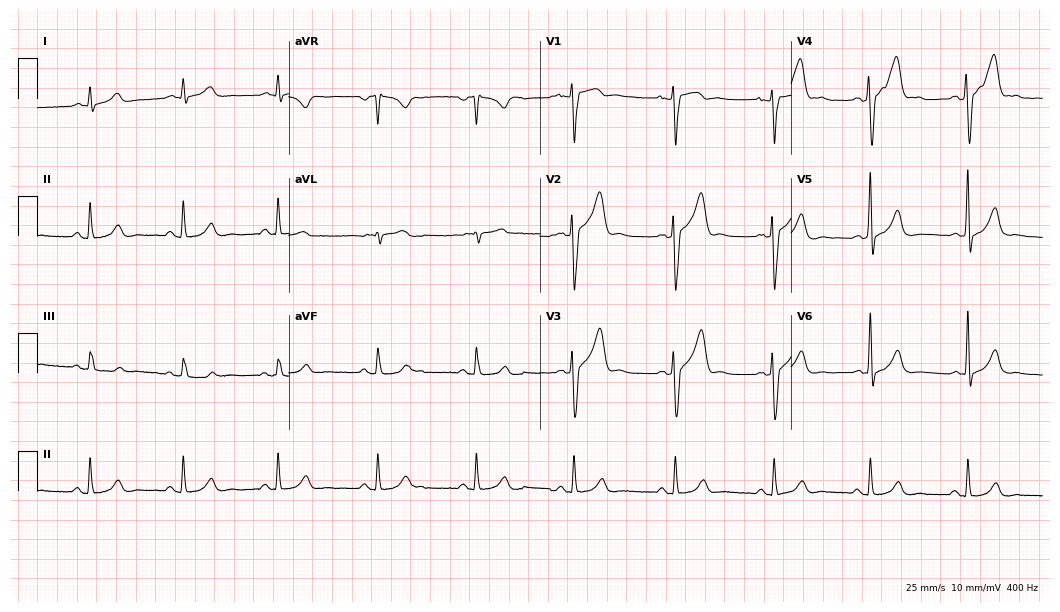
12-lead ECG from a 41-year-old man. Recorded interpretation: within normal limits.